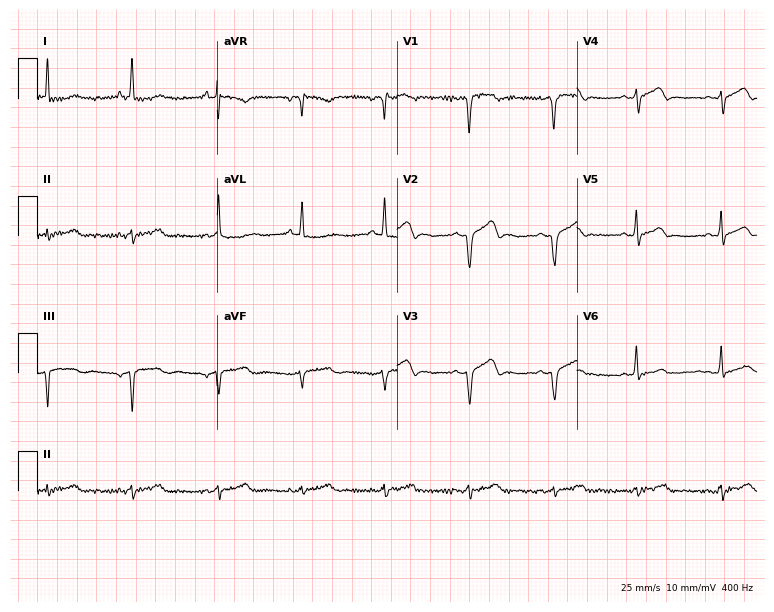
Electrocardiogram, a 75-year-old female. Of the six screened findings (first-degree AV block, right bundle branch block, left bundle branch block, sinus bradycardia, atrial fibrillation, sinus tachycardia), none is recorded.